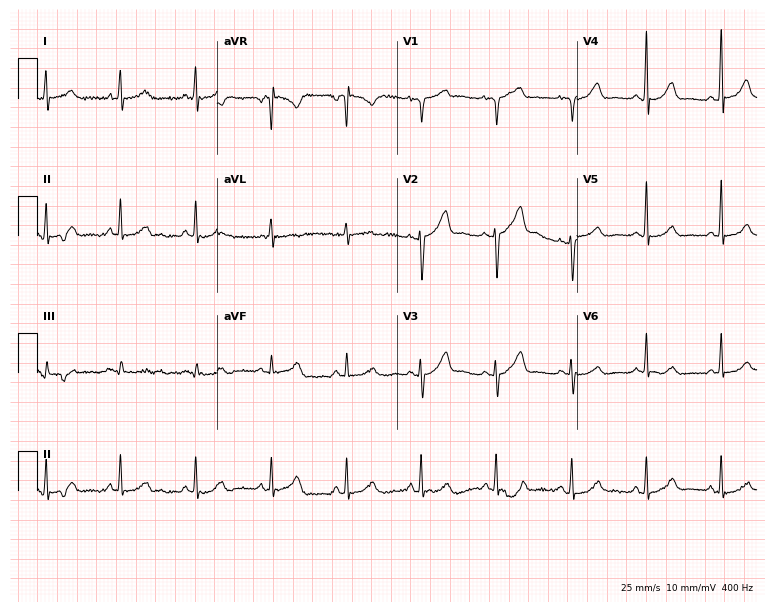
12-lead ECG from a female patient, 65 years old (7.3-second recording at 400 Hz). No first-degree AV block, right bundle branch block (RBBB), left bundle branch block (LBBB), sinus bradycardia, atrial fibrillation (AF) or sinus tachycardia recorded for this tracing.